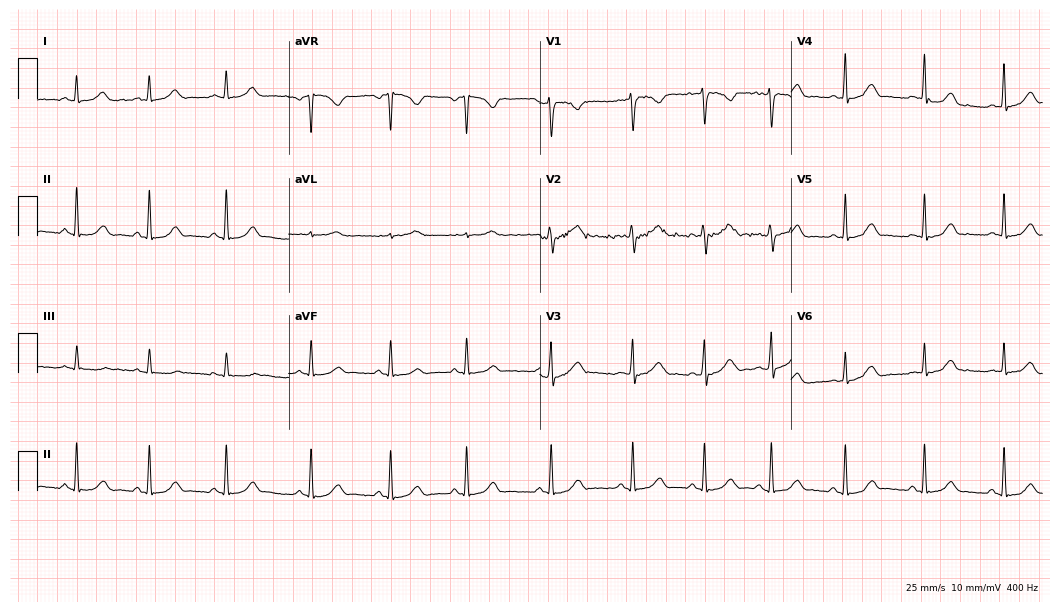
12-lead ECG (10.2-second recording at 400 Hz) from a 24-year-old female. Labelled as a normal ECG.